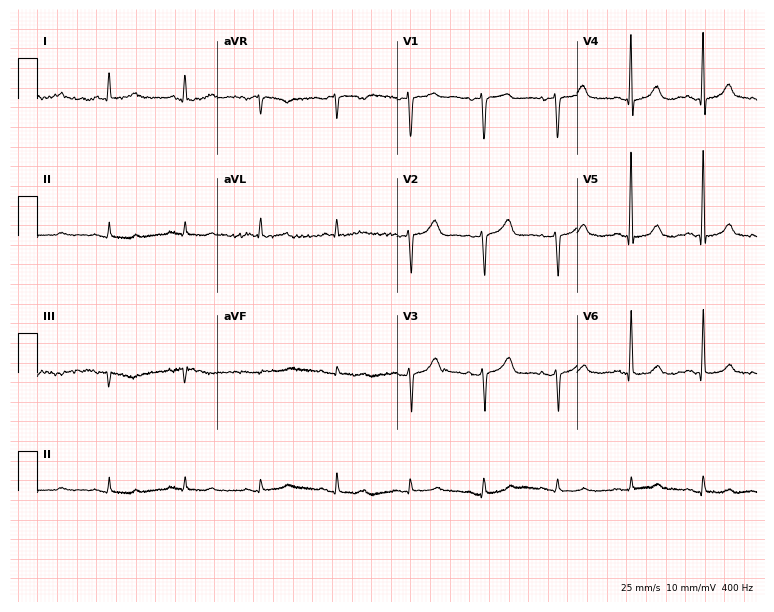
Standard 12-lead ECG recorded from a female, 70 years old (7.3-second recording at 400 Hz). None of these six findings is recorded: first-degree AV block, right bundle branch block, left bundle branch block, sinus bradycardia, atrial fibrillation, sinus tachycardia.